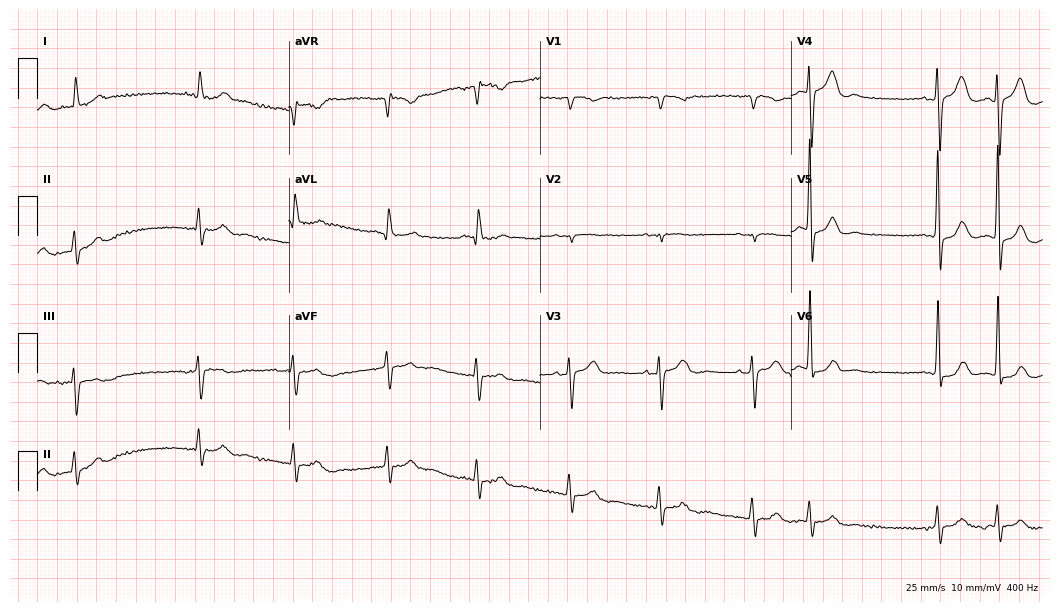
Electrocardiogram, an 80-year-old female. Of the six screened findings (first-degree AV block, right bundle branch block, left bundle branch block, sinus bradycardia, atrial fibrillation, sinus tachycardia), none is recorded.